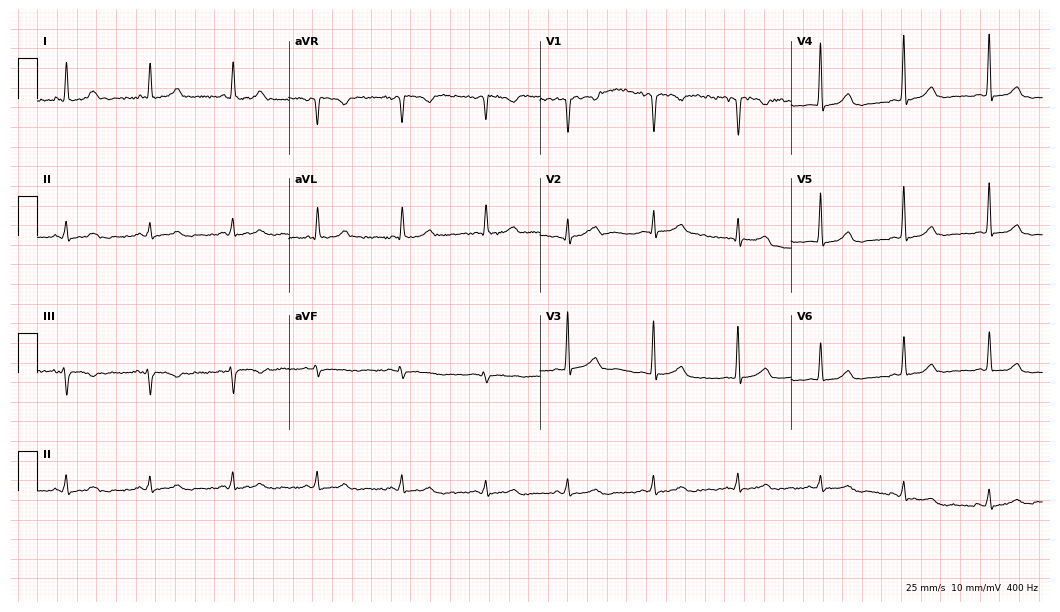
12-lead ECG from a 47-year-old female (10.2-second recording at 400 Hz). Recorded interpretation: within normal limits.